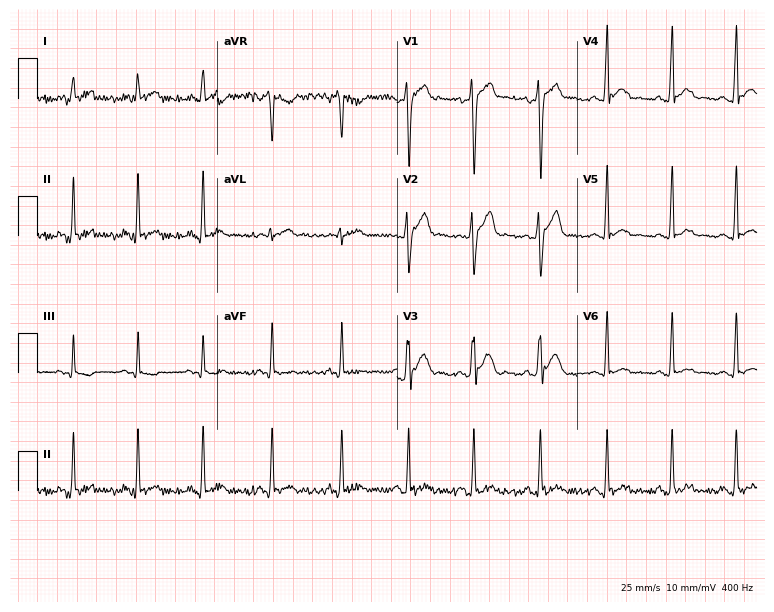
Standard 12-lead ECG recorded from a 25-year-old man. Read as a normal ECG.